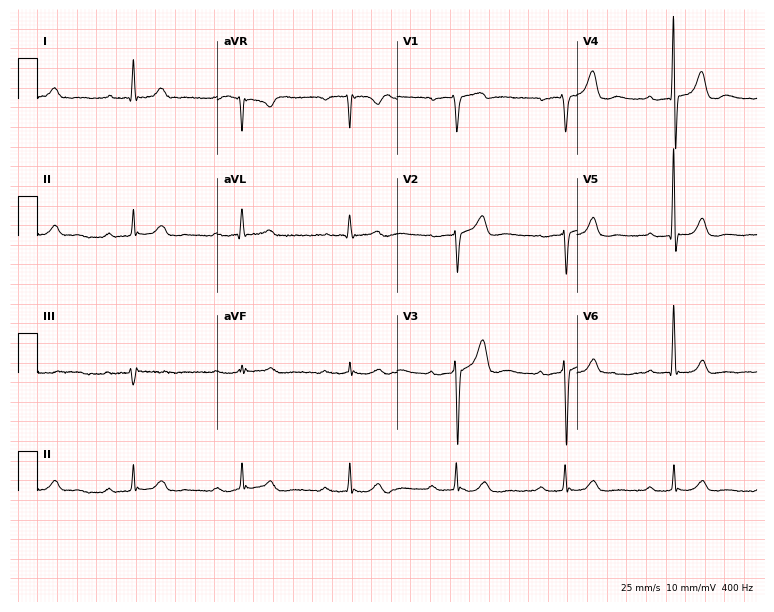
12-lead ECG from a 69-year-old man. Screened for six findings — first-degree AV block, right bundle branch block (RBBB), left bundle branch block (LBBB), sinus bradycardia, atrial fibrillation (AF), sinus tachycardia — none is recorded. Other findings, if any, are not listed.